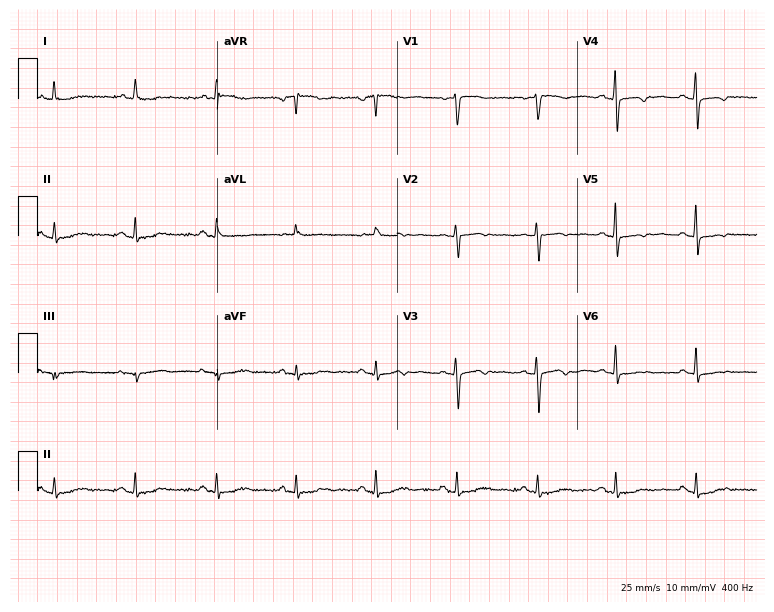
Resting 12-lead electrocardiogram. Patient: a female, 62 years old. None of these six findings is recorded: first-degree AV block, right bundle branch block, left bundle branch block, sinus bradycardia, atrial fibrillation, sinus tachycardia. Other findings, if any, are not listed.